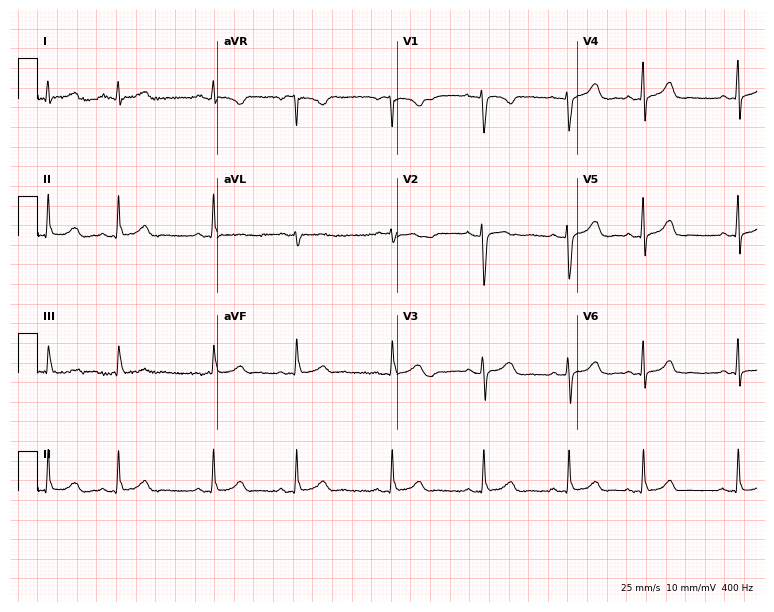
Electrocardiogram (7.3-second recording at 400 Hz), a male patient, 20 years old. Of the six screened findings (first-degree AV block, right bundle branch block (RBBB), left bundle branch block (LBBB), sinus bradycardia, atrial fibrillation (AF), sinus tachycardia), none is recorded. Findings outside these six are not listed.